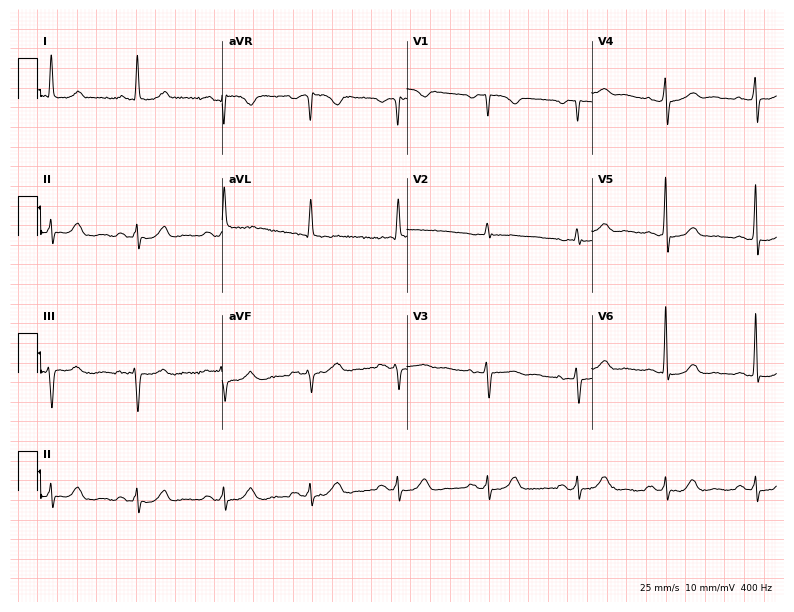
Standard 12-lead ECG recorded from a 76-year-old female patient. Read as a normal ECG.